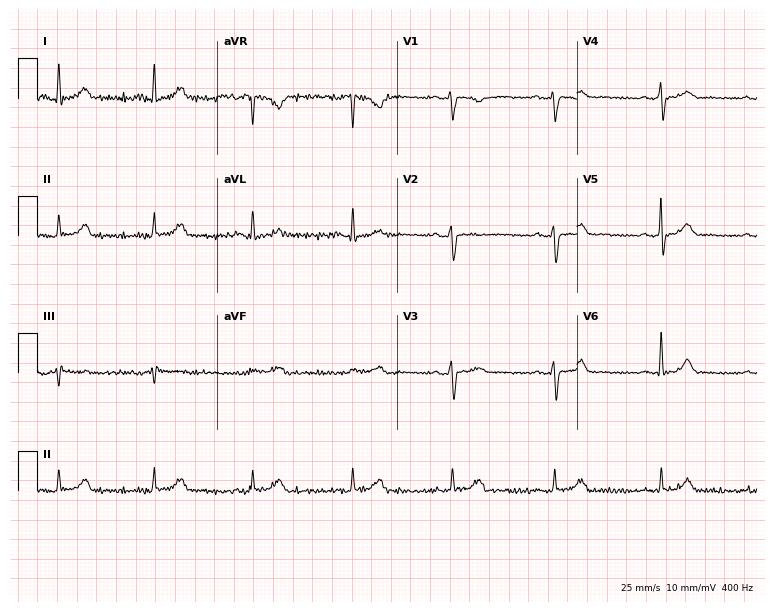
12-lead ECG from a woman, 47 years old. Recorded interpretation: within normal limits.